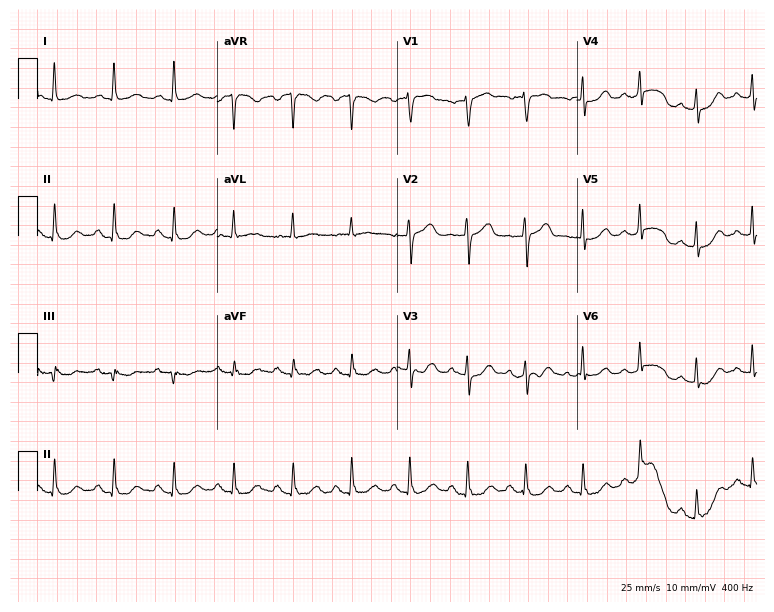
12-lead ECG (7.3-second recording at 400 Hz) from a female, 64 years old. Labelled as a normal ECG.